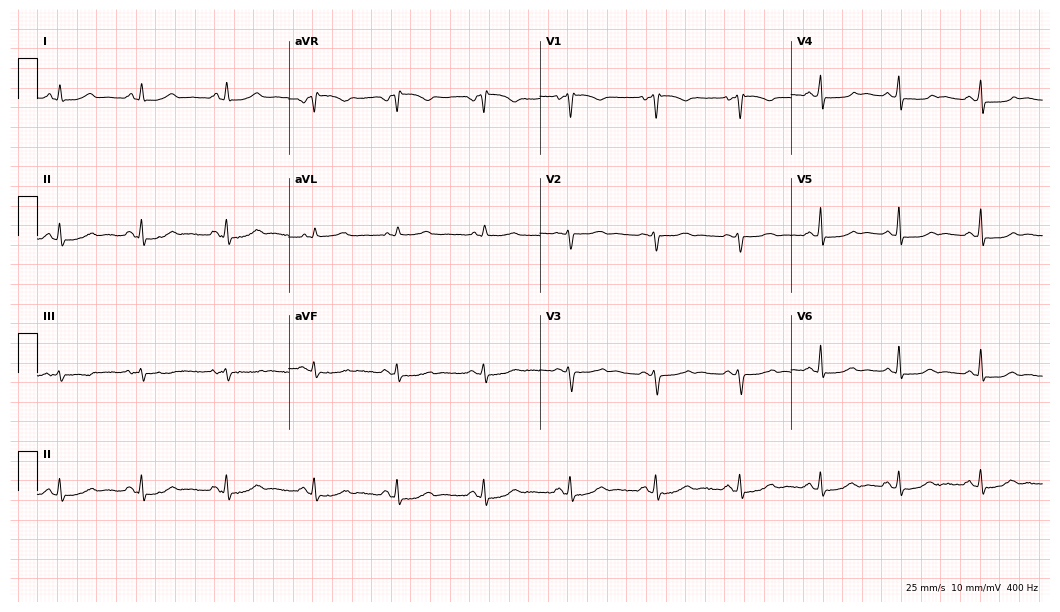
Resting 12-lead electrocardiogram (10.2-second recording at 400 Hz). Patient: a 32-year-old female. None of these six findings is recorded: first-degree AV block, right bundle branch block, left bundle branch block, sinus bradycardia, atrial fibrillation, sinus tachycardia.